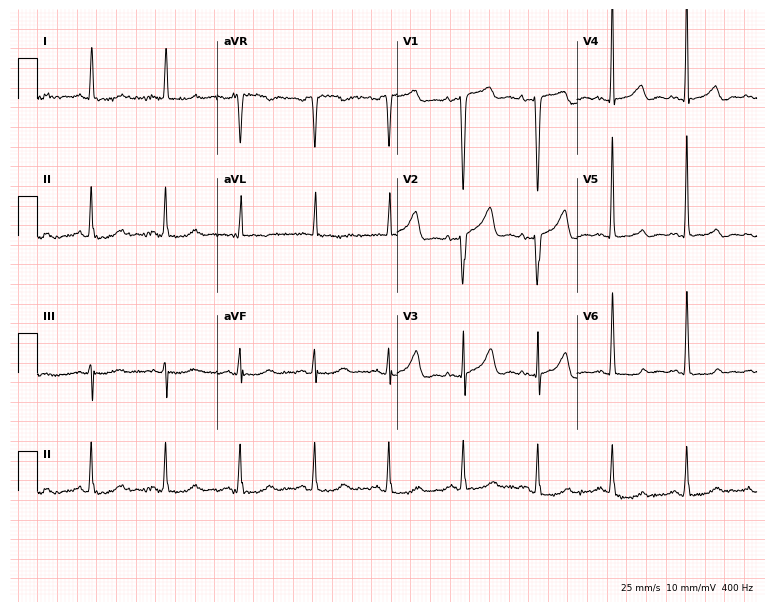
ECG (7.3-second recording at 400 Hz) — a female, 81 years old. Labelled as a normal ECG.